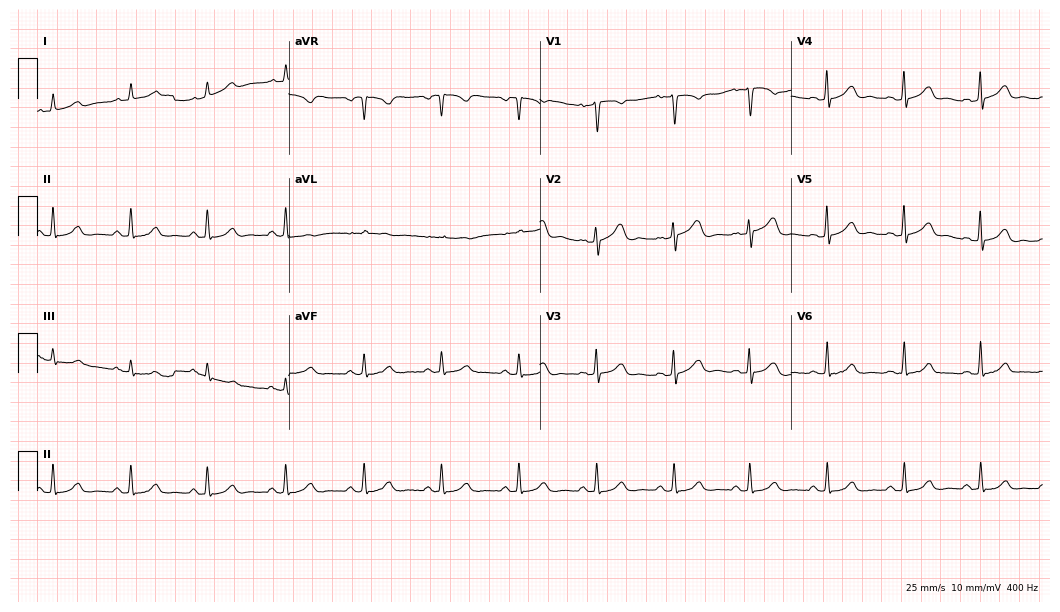
ECG — a female patient, 39 years old. Labelled as a normal ECG.